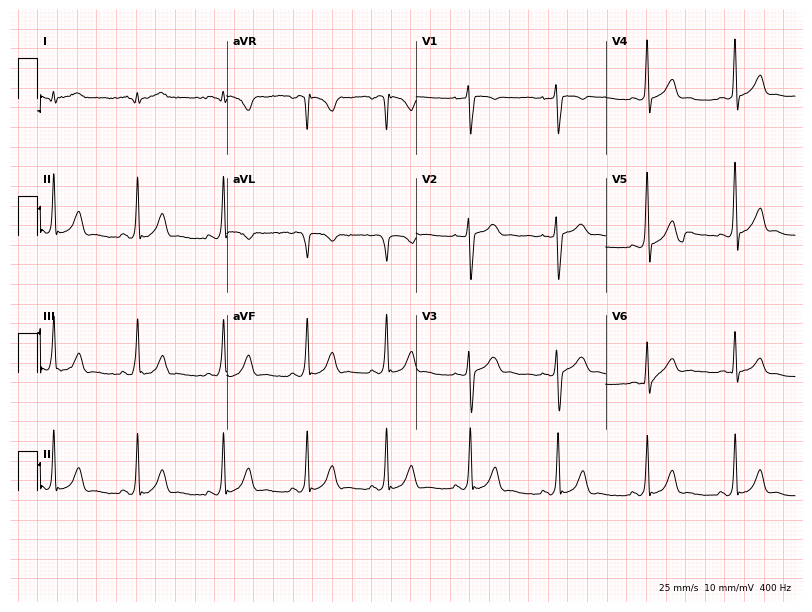
Standard 12-lead ECG recorded from a man, 31 years old. Read as a normal ECG.